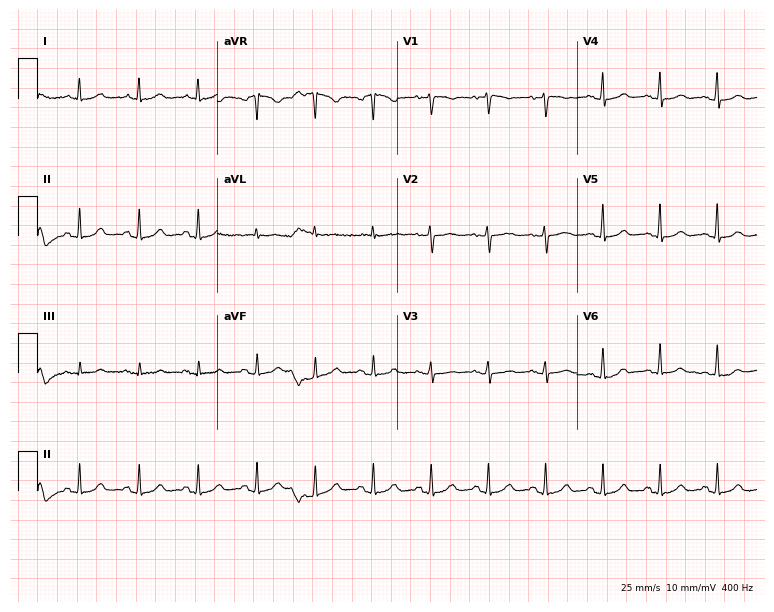
Electrocardiogram (7.3-second recording at 400 Hz), a female patient, 48 years old. Overall reading on record: normal ECG.